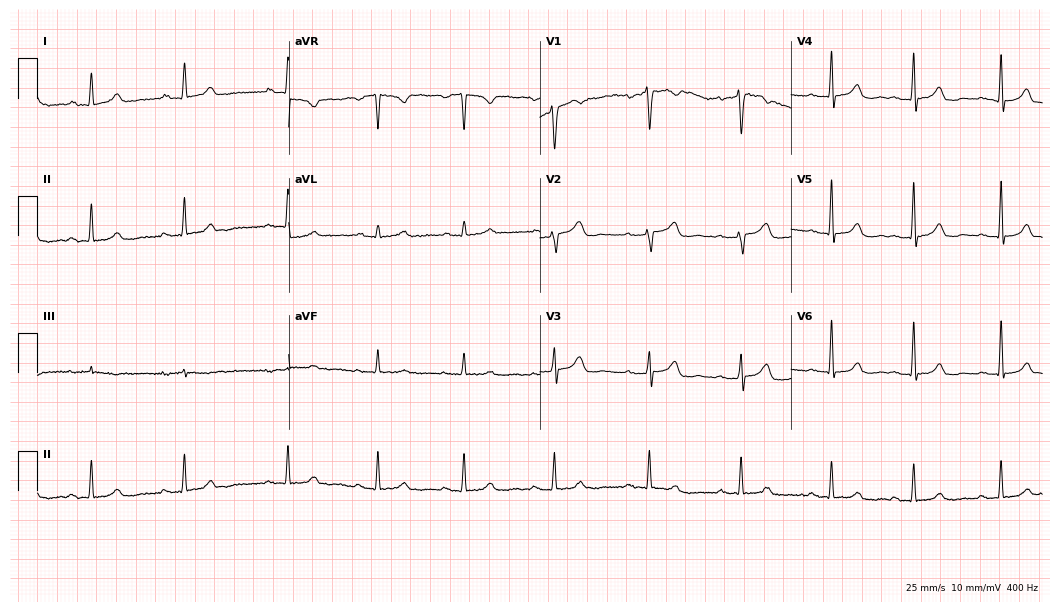
12-lead ECG from a 40-year-old female patient. Labelled as a normal ECG.